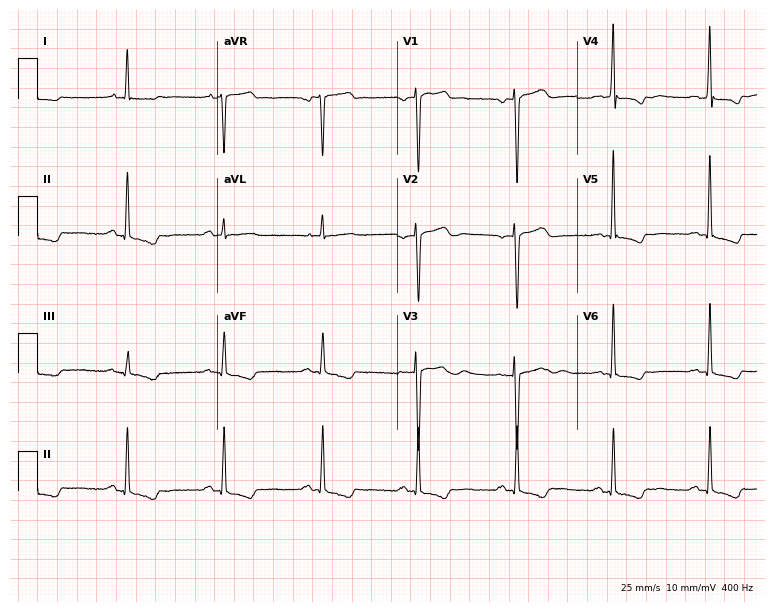
12-lead ECG (7.3-second recording at 400 Hz) from a woman, 59 years old. Screened for six findings — first-degree AV block, right bundle branch block, left bundle branch block, sinus bradycardia, atrial fibrillation, sinus tachycardia — none is recorded. Only these six findings were labelled.